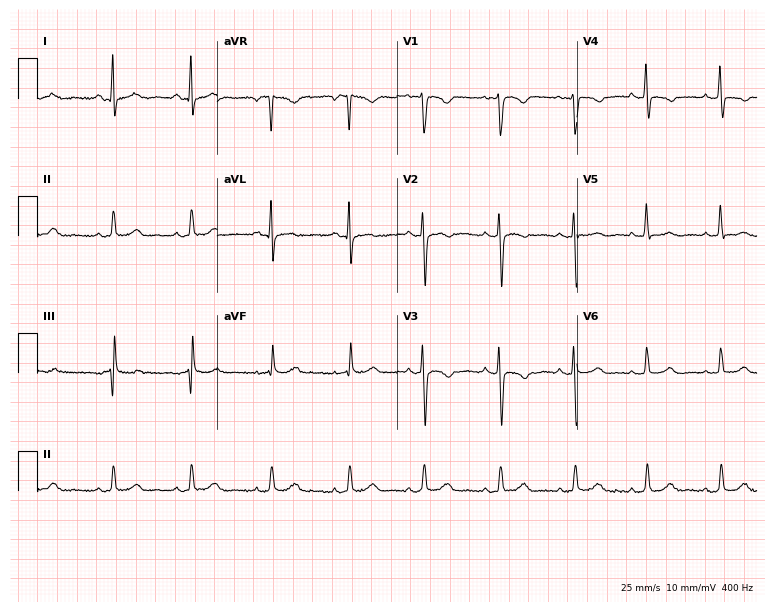
Electrocardiogram (7.3-second recording at 400 Hz), a 29-year-old female. Of the six screened findings (first-degree AV block, right bundle branch block, left bundle branch block, sinus bradycardia, atrial fibrillation, sinus tachycardia), none is recorded. Only these six findings were labelled.